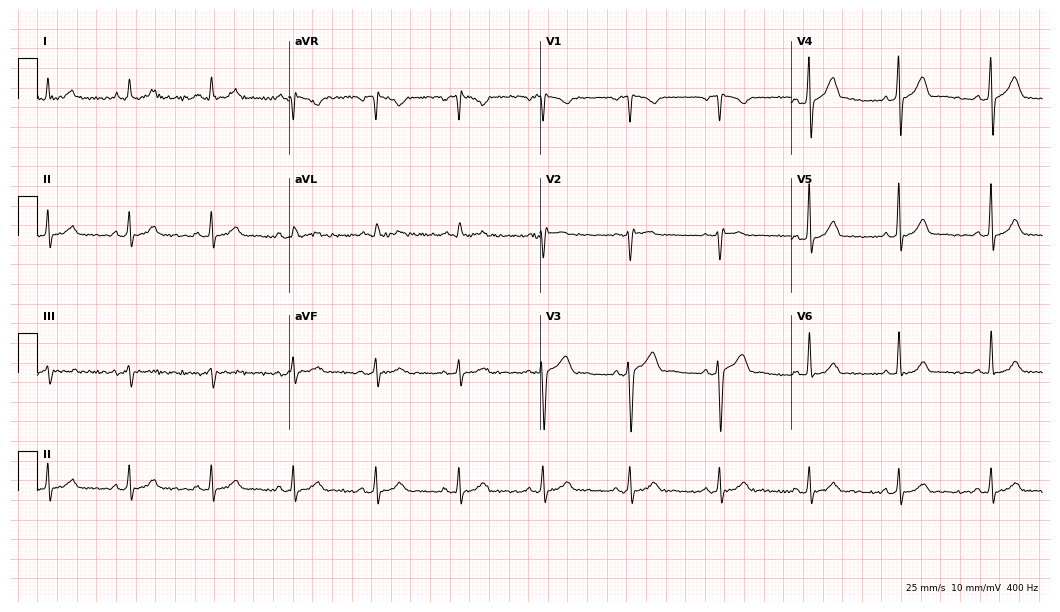
Standard 12-lead ECG recorded from a male, 57 years old (10.2-second recording at 400 Hz). None of these six findings is recorded: first-degree AV block, right bundle branch block, left bundle branch block, sinus bradycardia, atrial fibrillation, sinus tachycardia.